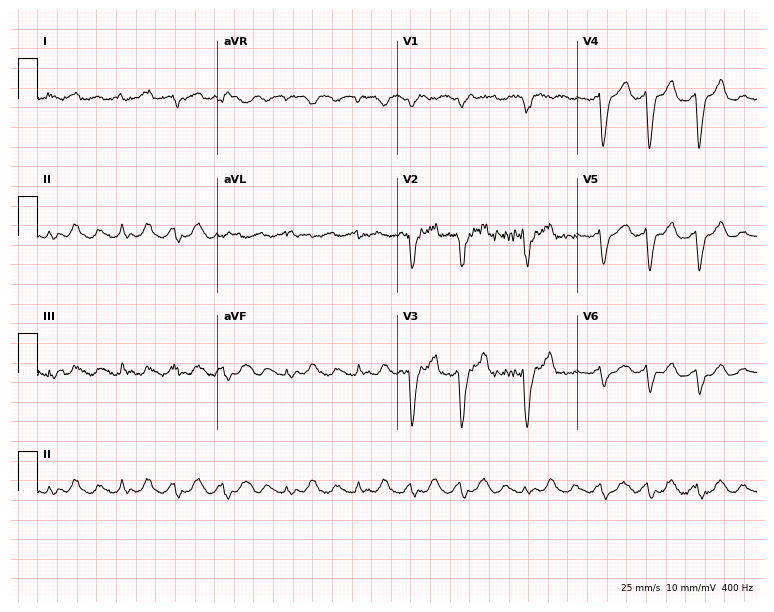
12-lead ECG (7.3-second recording at 400 Hz) from a male patient, 57 years old. Findings include left bundle branch block (LBBB).